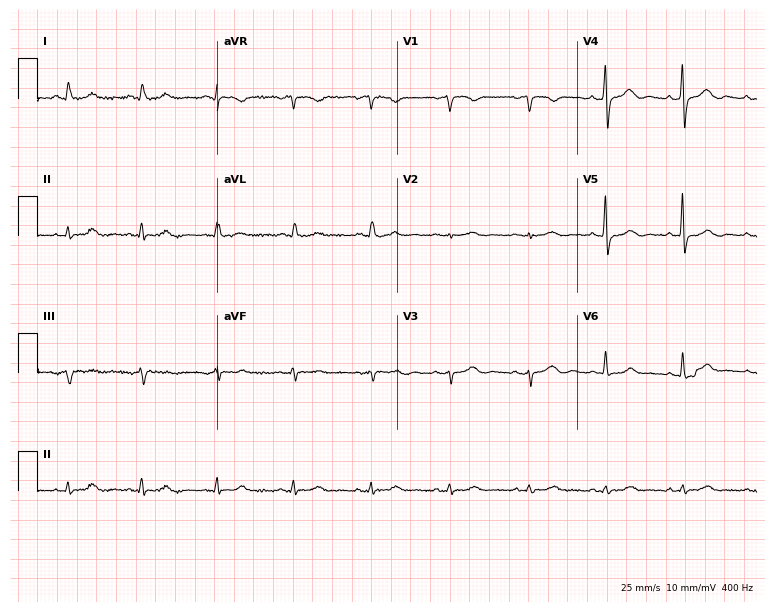
ECG (7.3-second recording at 400 Hz) — a female patient, 65 years old. Labelled as a normal ECG.